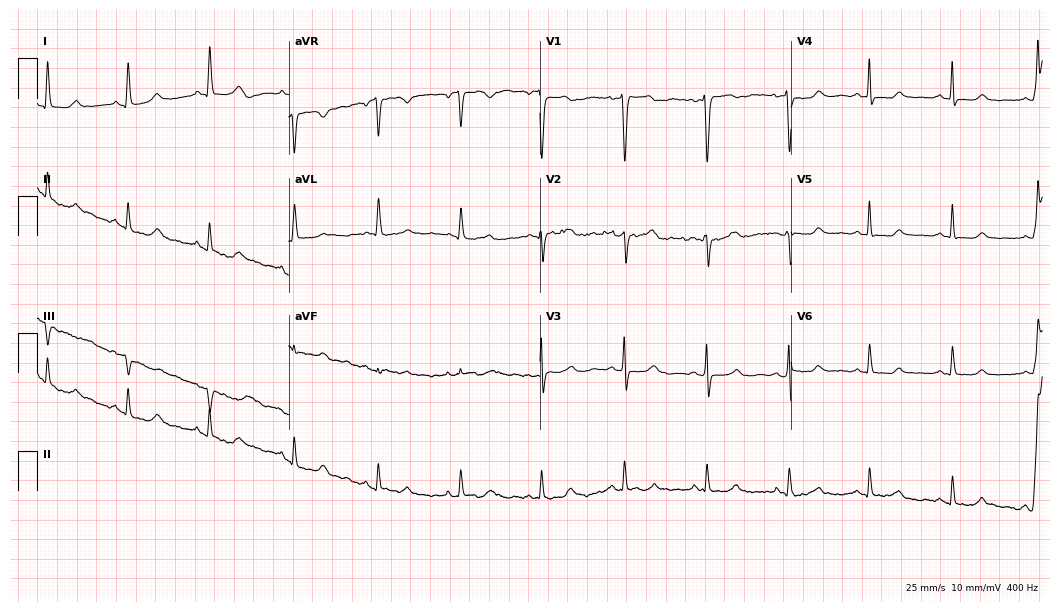
12-lead ECG (10.2-second recording at 400 Hz) from a female, 59 years old. Labelled as a normal ECG.